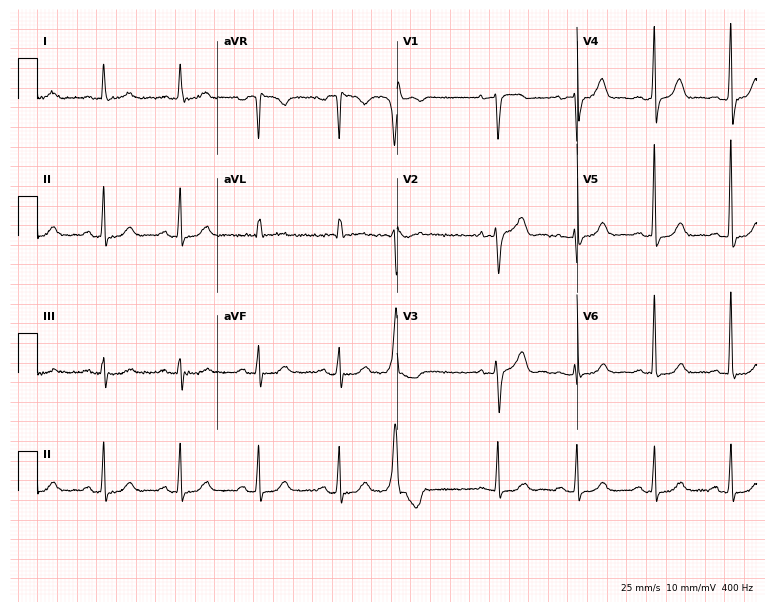
ECG (7.3-second recording at 400 Hz) — a female patient, 69 years old. Screened for six findings — first-degree AV block, right bundle branch block, left bundle branch block, sinus bradycardia, atrial fibrillation, sinus tachycardia — none is recorded.